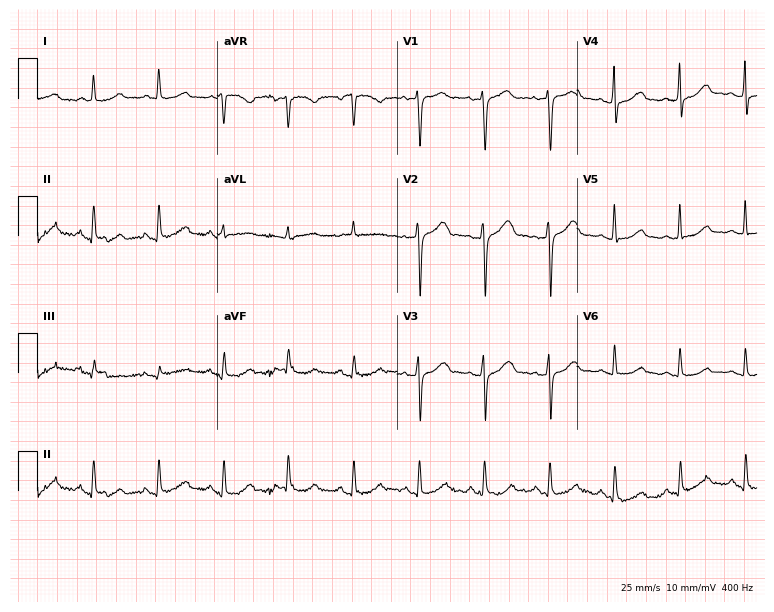
ECG (7.3-second recording at 400 Hz) — a female patient, 61 years old. Labelled as a normal ECG.